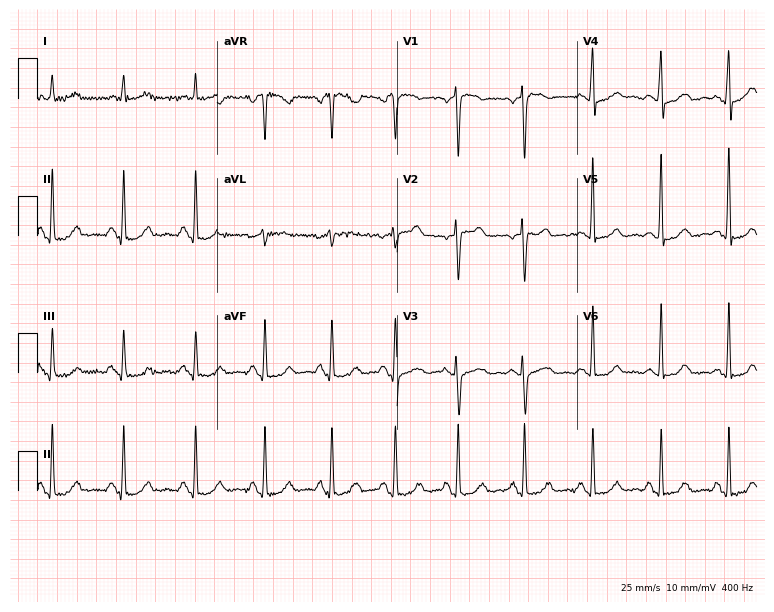
Standard 12-lead ECG recorded from a 61-year-old woman. None of these six findings is recorded: first-degree AV block, right bundle branch block, left bundle branch block, sinus bradycardia, atrial fibrillation, sinus tachycardia.